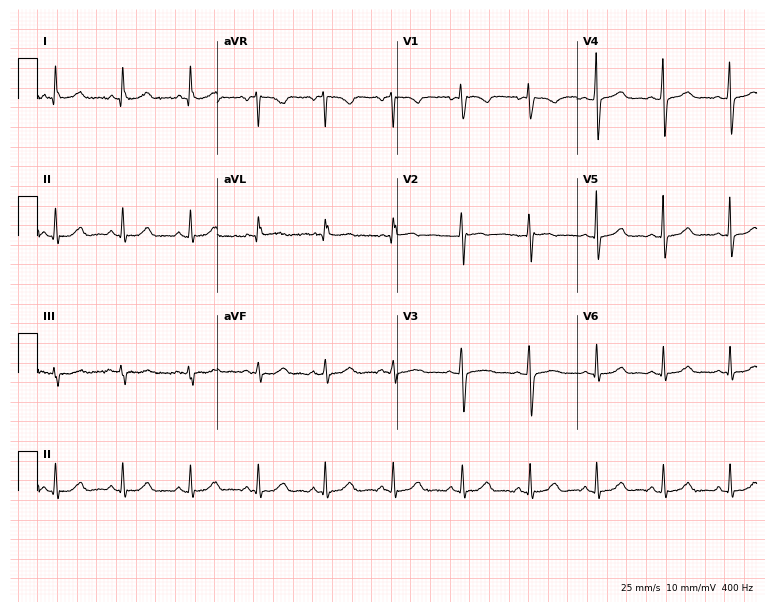
ECG — a 39-year-old female patient. Labelled as a normal ECG.